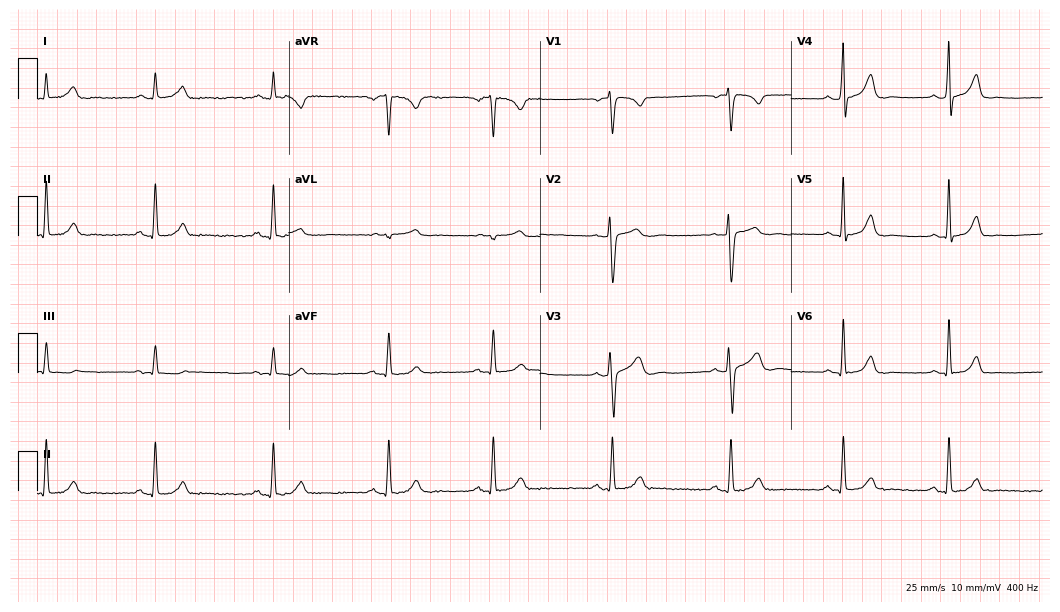
Standard 12-lead ECG recorded from a female, 40 years old. None of these six findings is recorded: first-degree AV block, right bundle branch block, left bundle branch block, sinus bradycardia, atrial fibrillation, sinus tachycardia. Findings outside these six are not listed.